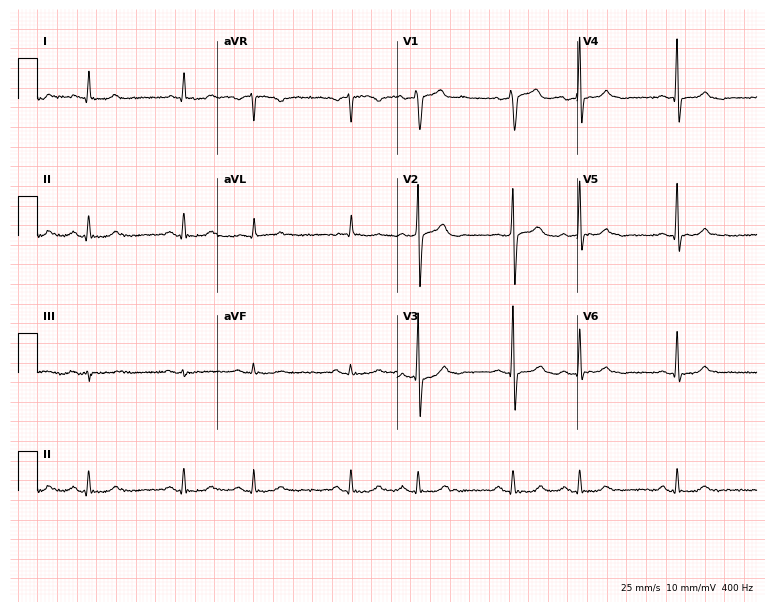
Standard 12-lead ECG recorded from a 70-year-old male (7.3-second recording at 400 Hz). None of these six findings is recorded: first-degree AV block, right bundle branch block, left bundle branch block, sinus bradycardia, atrial fibrillation, sinus tachycardia. Other findings, if any, are not listed.